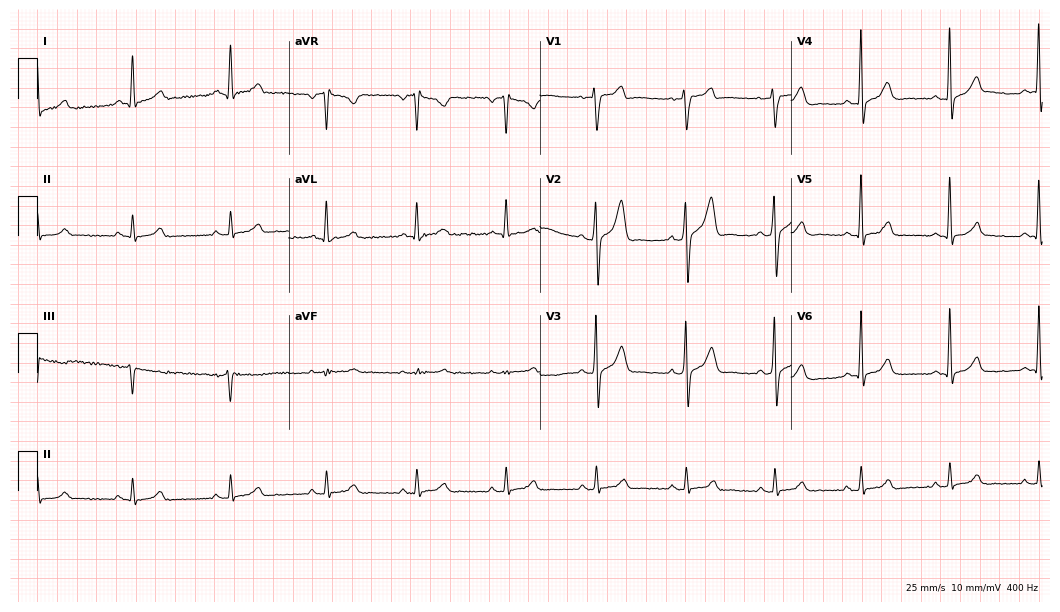
Resting 12-lead electrocardiogram (10.2-second recording at 400 Hz). Patient: a 43-year-old male. Read as a normal ECG.